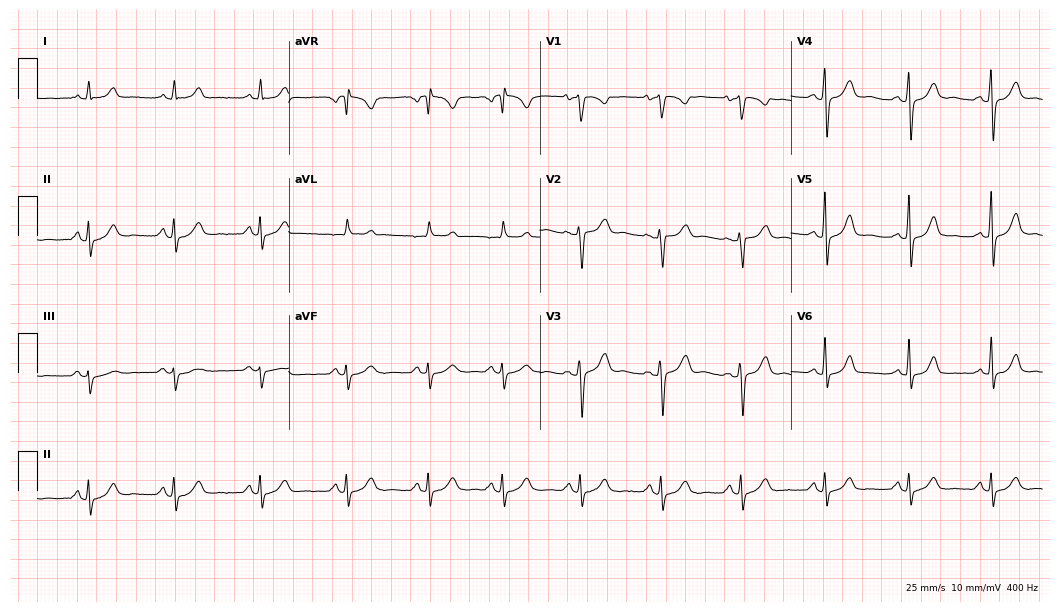
12-lead ECG from a woman, 34 years old. Screened for six findings — first-degree AV block, right bundle branch block, left bundle branch block, sinus bradycardia, atrial fibrillation, sinus tachycardia — none is recorded. Other findings, if any, are not listed.